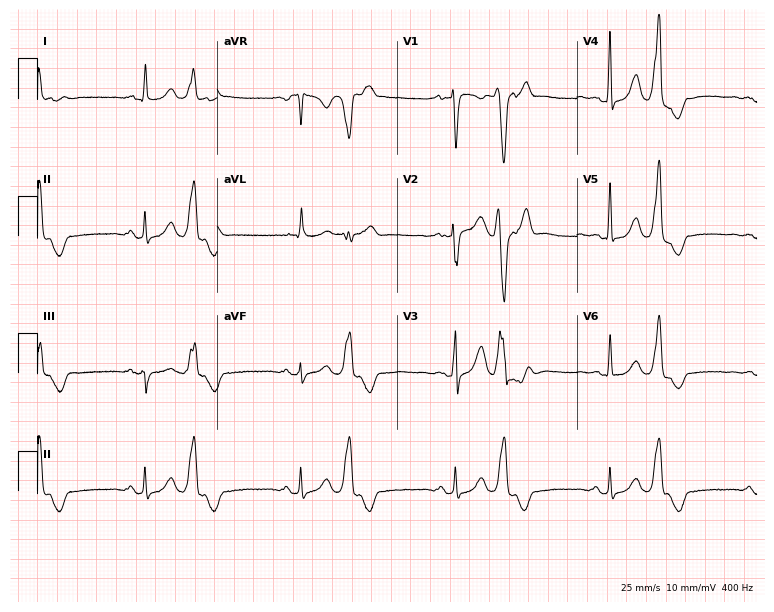
Resting 12-lead electrocardiogram (7.3-second recording at 400 Hz). Patient: a female, 40 years old. None of these six findings is recorded: first-degree AV block, right bundle branch block, left bundle branch block, sinus bradycardia, atrial fibrillation, sinus tachycardia. Only these six findings were labelled.